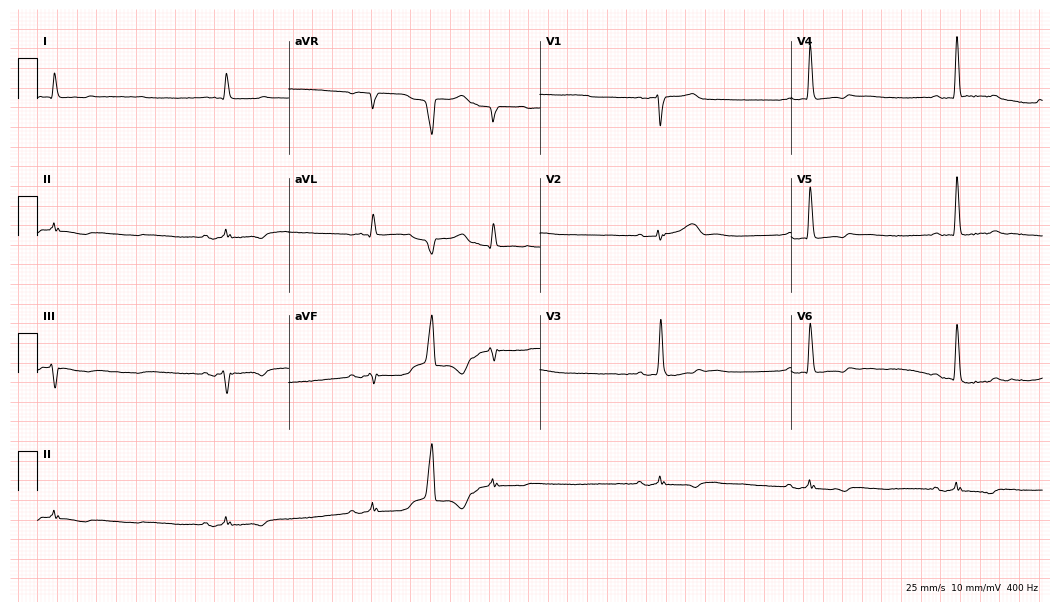
ECG (10.2-second recording at 400 Hz) — an 85-year-old male. Findings include sinus bradycardia (a sinus rate of 50 beats per minute or less).